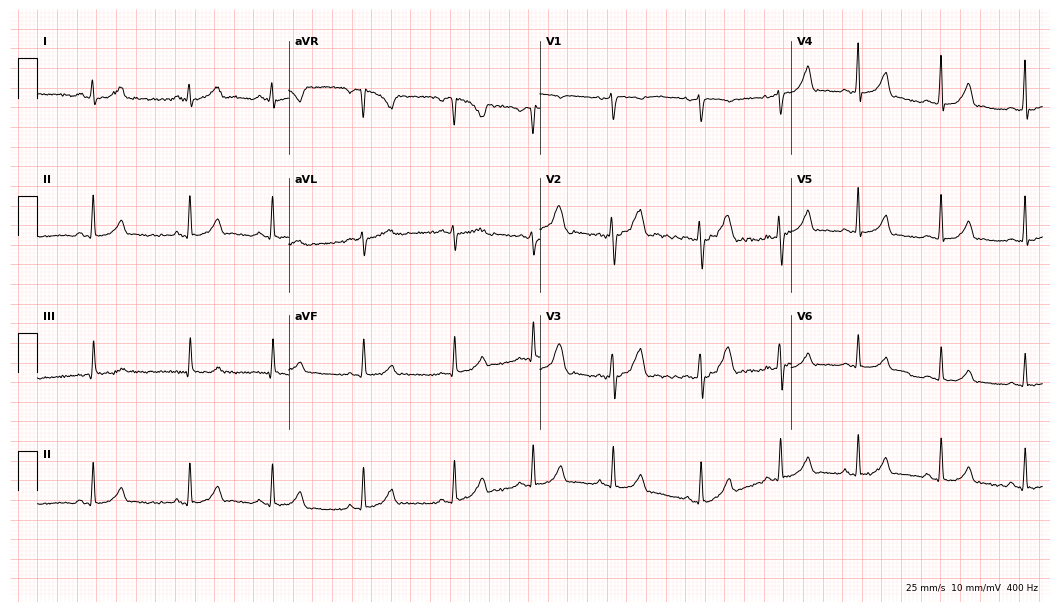
12-lead ECG from a woman, 21 years old. Labelled as a normal ECG.